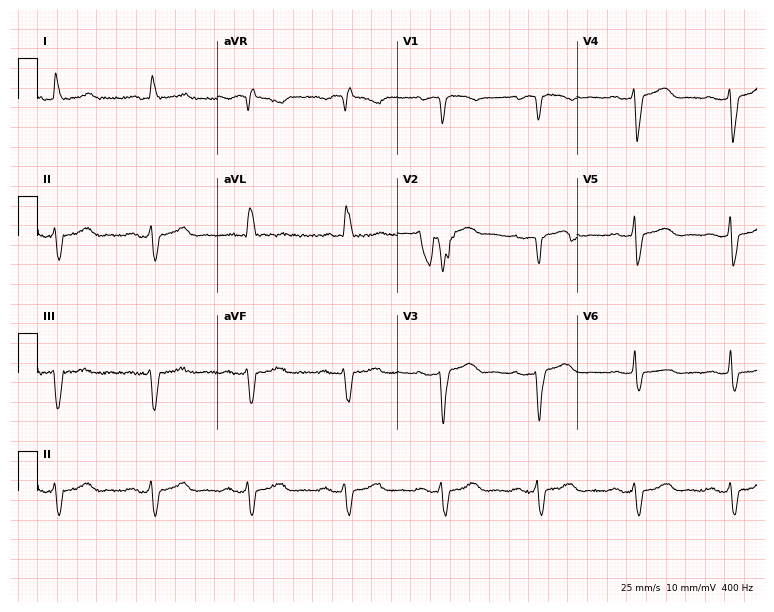
ECG — a female, 80 years old. Screened for six findings — first-degree AV block, right bundle branch block (RBBB), left bundle branch block (LBBB), sinus bradycardia, atrial fibrillation (AF), sinus tachycardia — none is recorded. Findings outside these six are not listed.